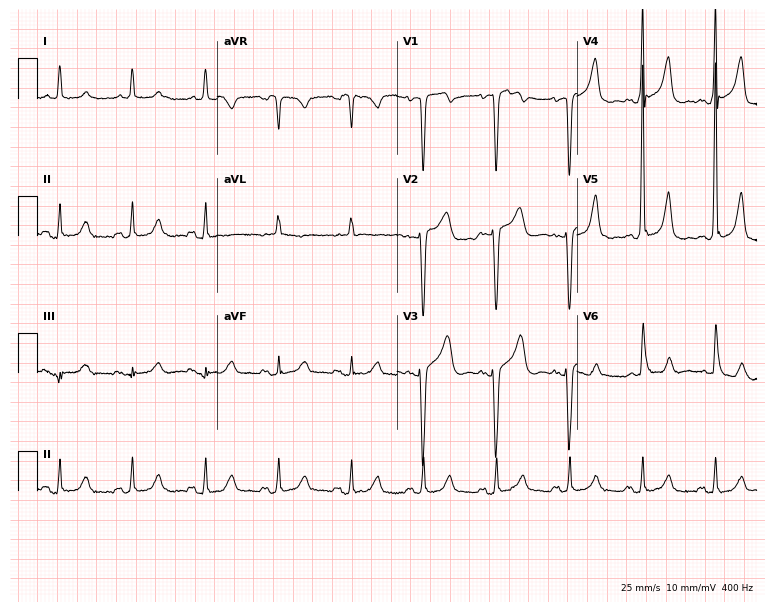
Electrocardiogram (7.3-second recording at 400 Hz), a 73-year-old female patient. Overall reading on record: normal ECG.